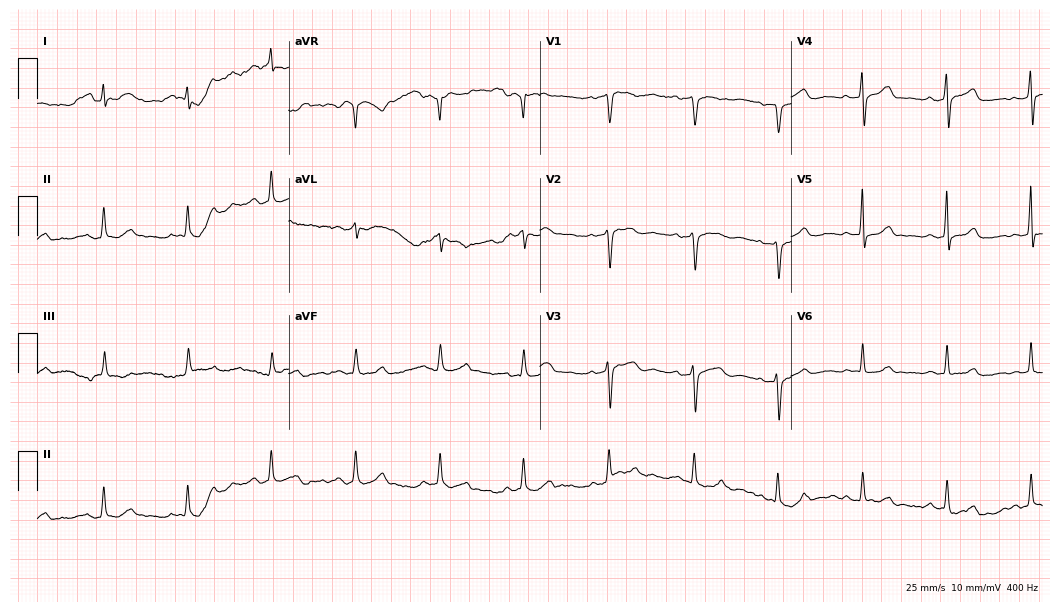
Electrocardiogram, a female patient, 39 years old. Of the six screened findings (first-degree AV block, right bundle branch block (RBBB), left bundle branch block (LBBB), sinus bradycardia, atrial fibrillation (AF), sinus tachycardia), none is recorded. Only these six findings were labelled.